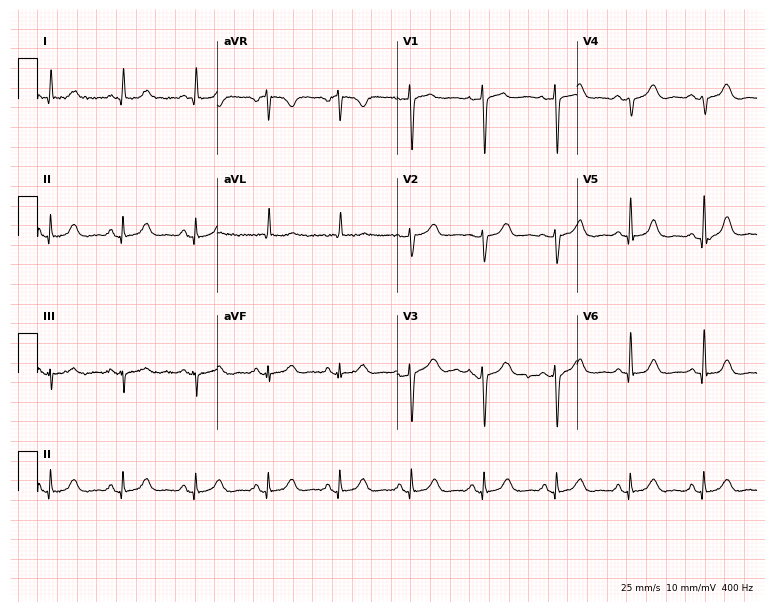
12-lead ECG (7.3-second recording at 400 Hz) from a female patient, 70 years old. Labelled as a normal ECG.